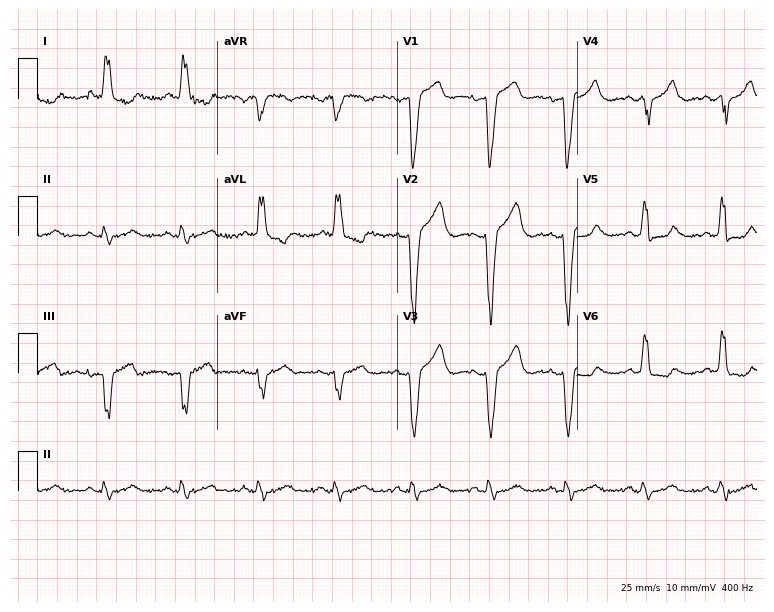
Resting 12-lead electrocardiogram. Patient: a 77-year-old male. The tracing shows left bundle branch block.